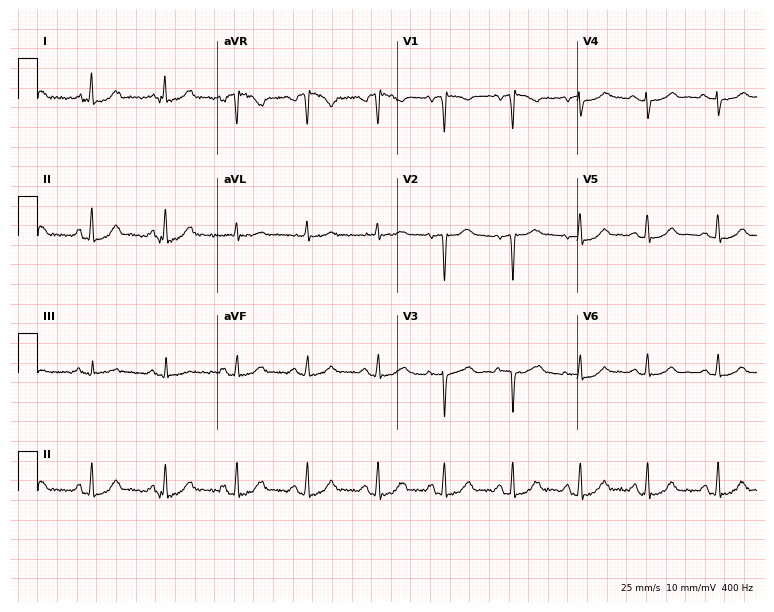
Electrocardiogram (7.3-second recording at 400 Hz), a woman, 47 years old. Overall reading on record: normal ECG.